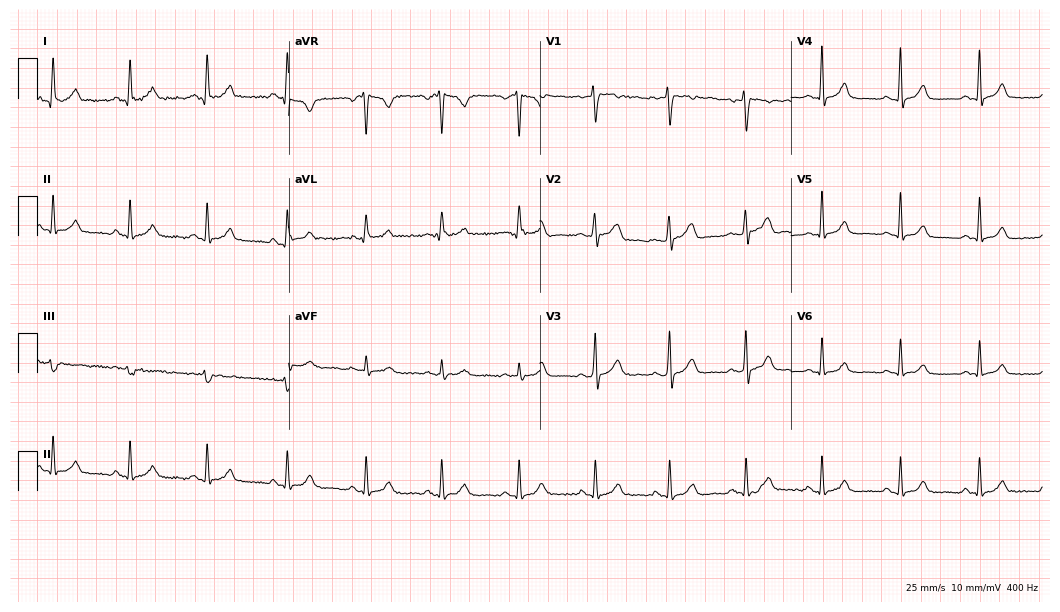
12-lead ECG from a woman, 29 years old. No first-degree AV block, right bundle branch block, left bundle branch block, sinus bradycardia, atrial fibrillation or sinus tachycardia recorded for this tracing.